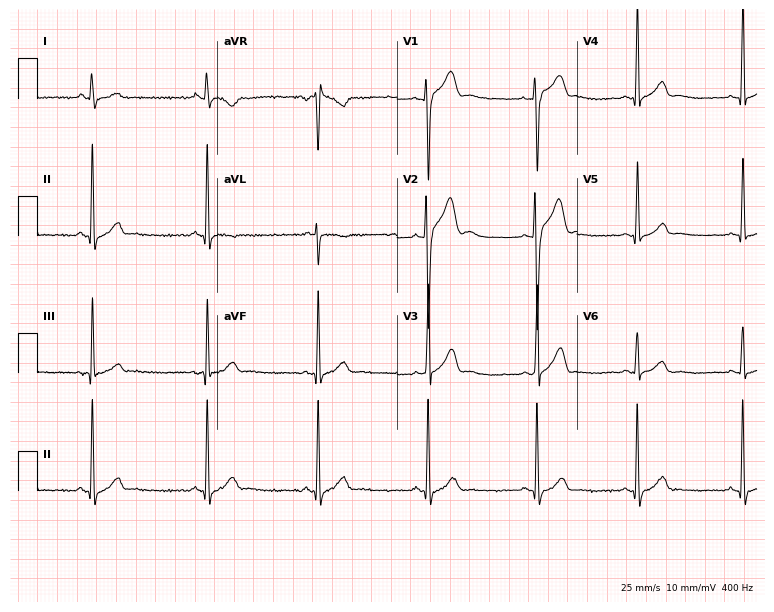
Electrocardiogram, a man, 23 years old. Overall reading on record: normal ECG.